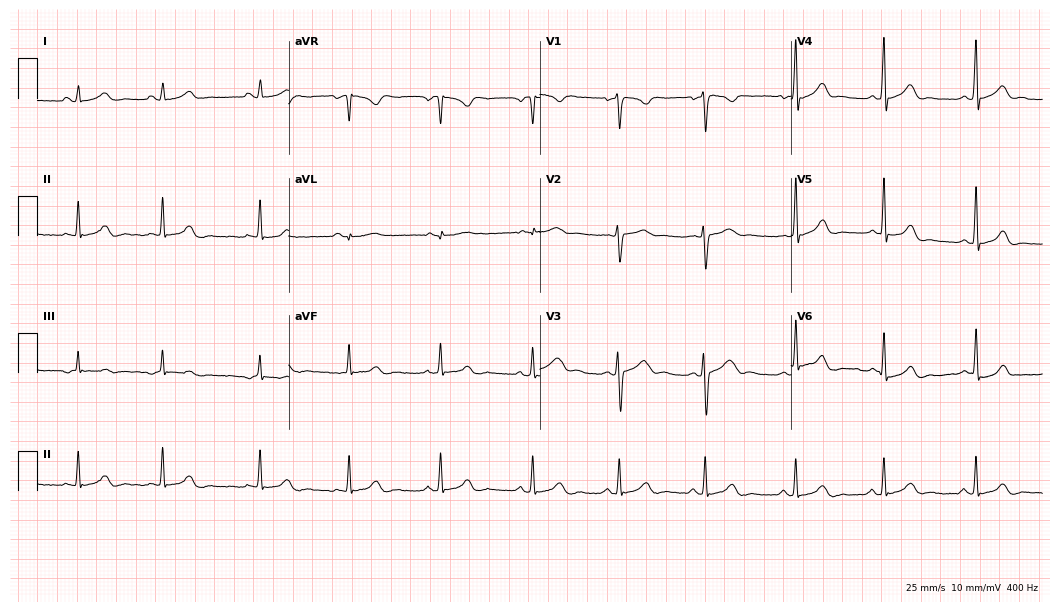
Resting 12-lead electrocardiogram (10.2-second recording at 400 Hz). Patient: a woman, 17 years old. Read as a normal ECG.